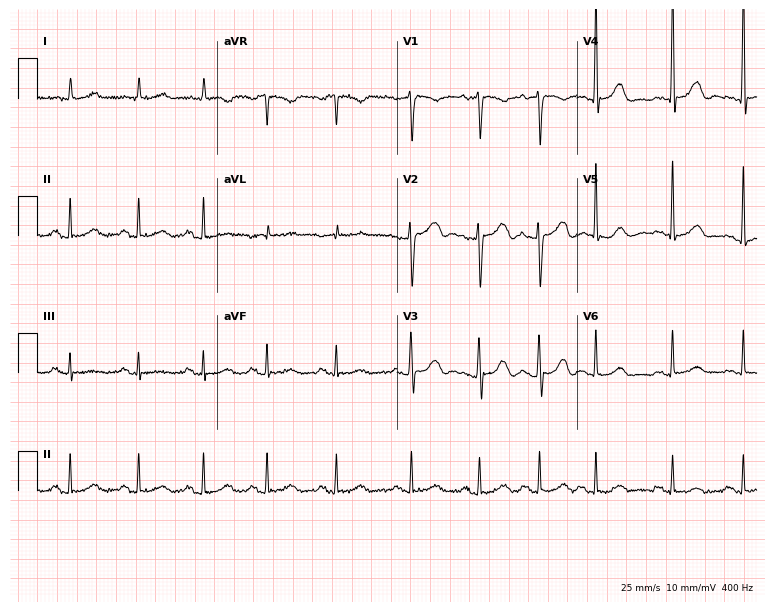
ECG (7.3-second recording at 400 Hz) — a female, 79 years old. Screened for six findings — first-degree AV block, right bundle branch block (RBBB), left bundle branch block (LBBB), sinus bradycardia, atrial fibrillation (AF), sinus tachycardia — none is recorded. Only these six findings were labelled.